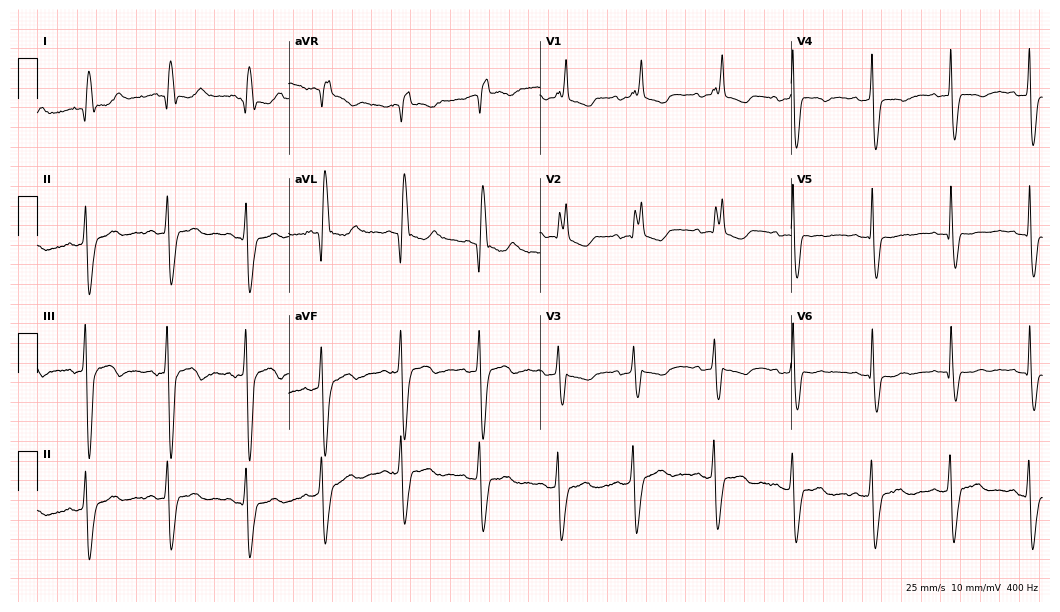
12-lead ECG from an 82-year-old woman. Findings include right bundle branch block.